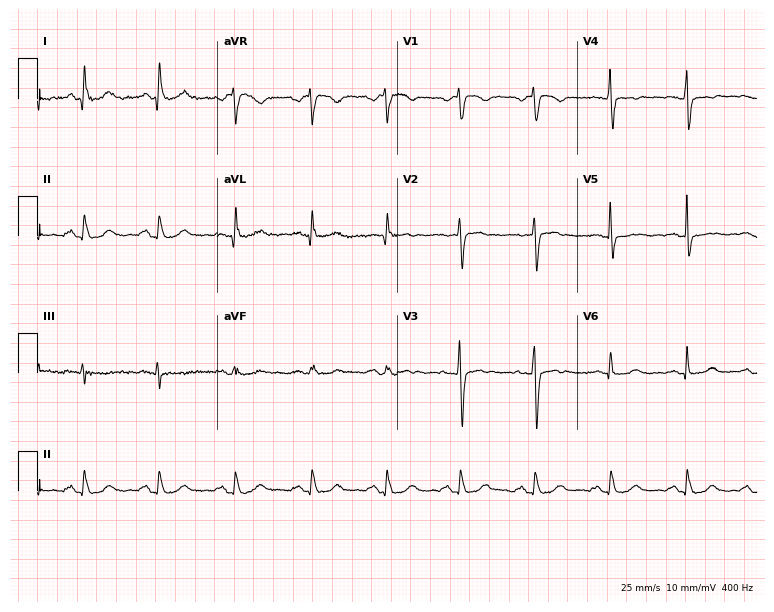
12-lead ECG from a female patient, 45 years old. Labelled as a normal ECG.